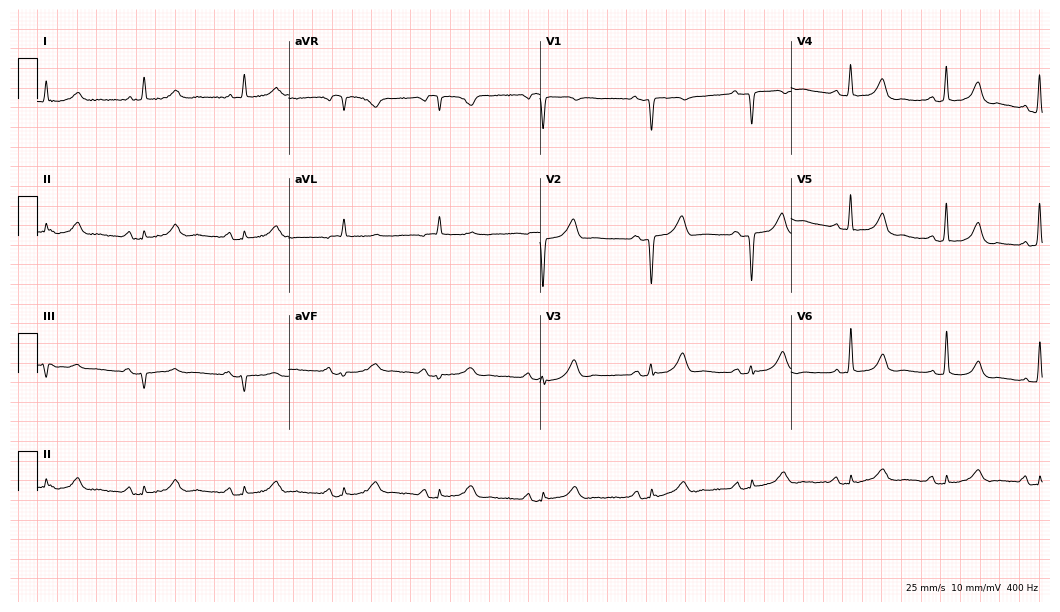
Resting 12-lead electrocardiogram (10.2-second recording at 400 Hz). Patient: a 71-year-old man. Read as a normal ECG.